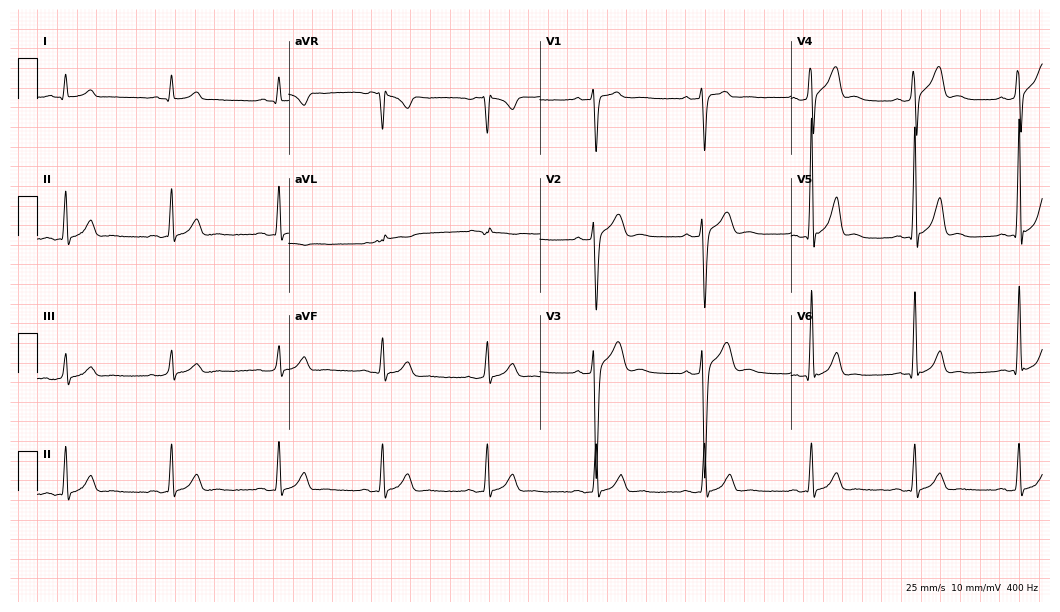
12-lead ECG from a male, 26 years old. Labelled as a normal ECG.